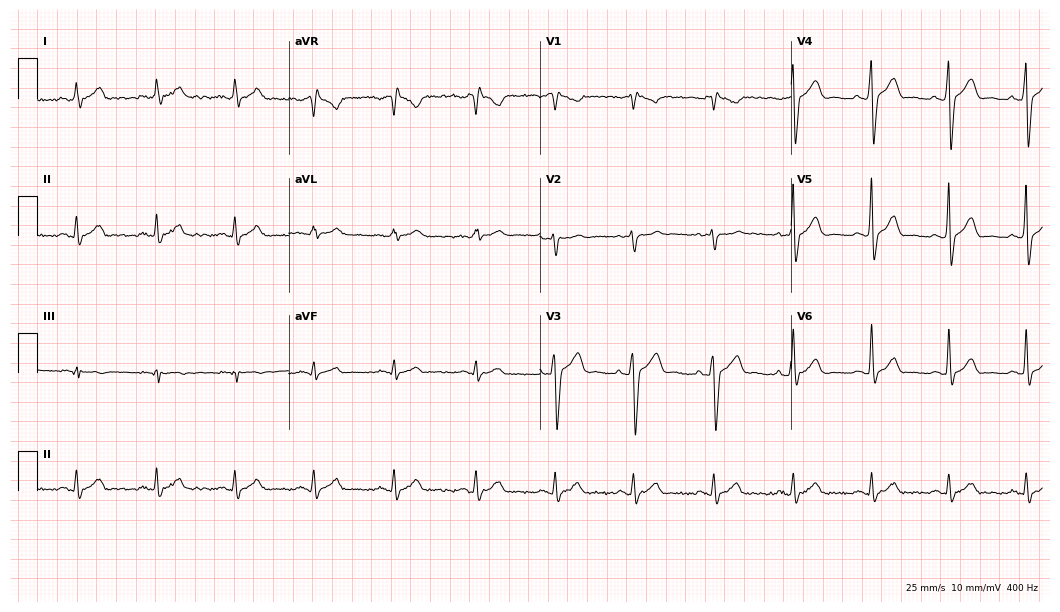
12-lead ECG from a man, 37 years old (10.2-second recording at 400 Hz). No first-degree AV block, right bundle branch block, left bundle branch block, sinus bradycardia, atrial fibrillation or sinus tachycardia recorded for this tracing.